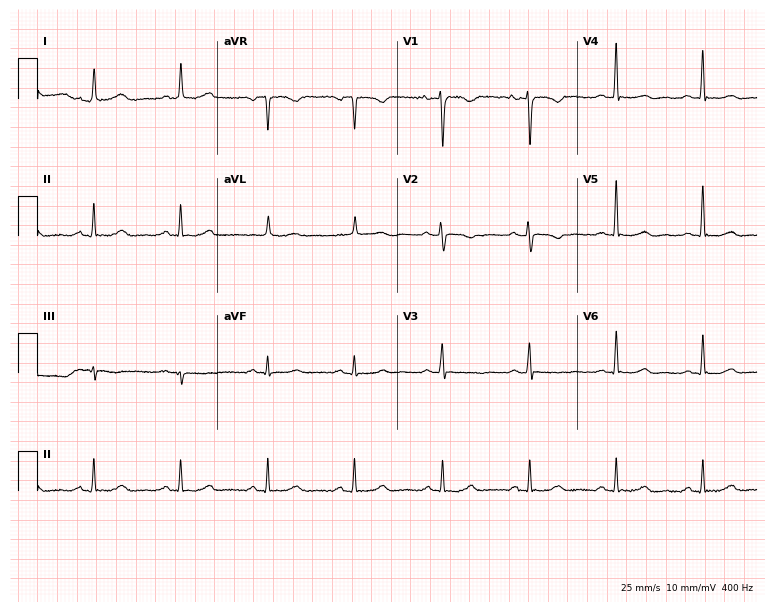
ECG — a female, 56 years old. Screened for six findings — first-degree AV block, right bundle branch block (RBBB), left bundle branch block (LBBB), sinus bradycardia, atrial fibrillation (AF), sinus tachycardia — none is recorded. Only these six findings were labelled.